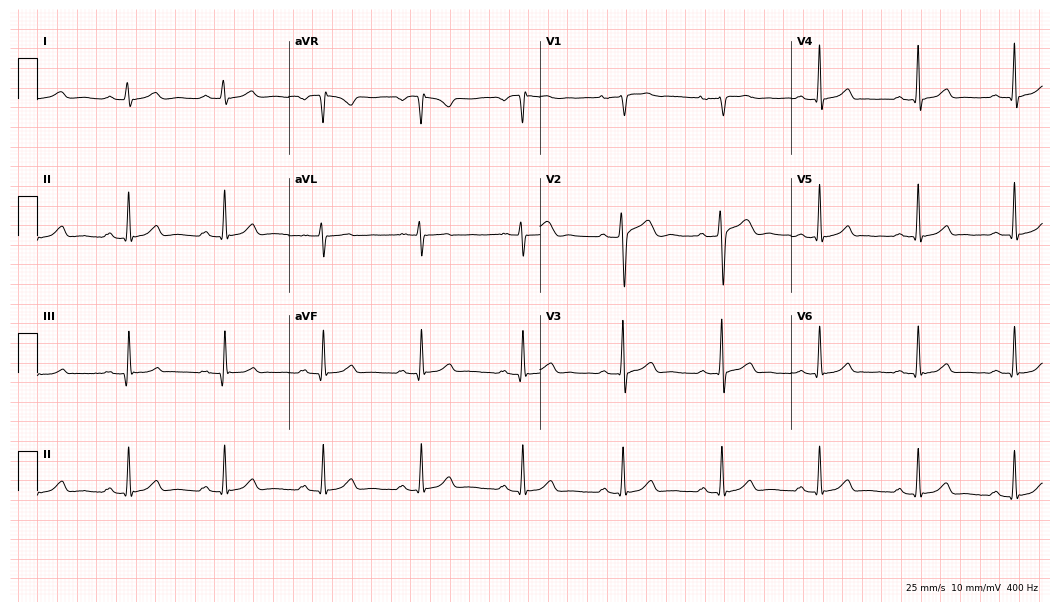
Electrocardiogram, a man, 26 years old. Overall reading on record: normal ECG.